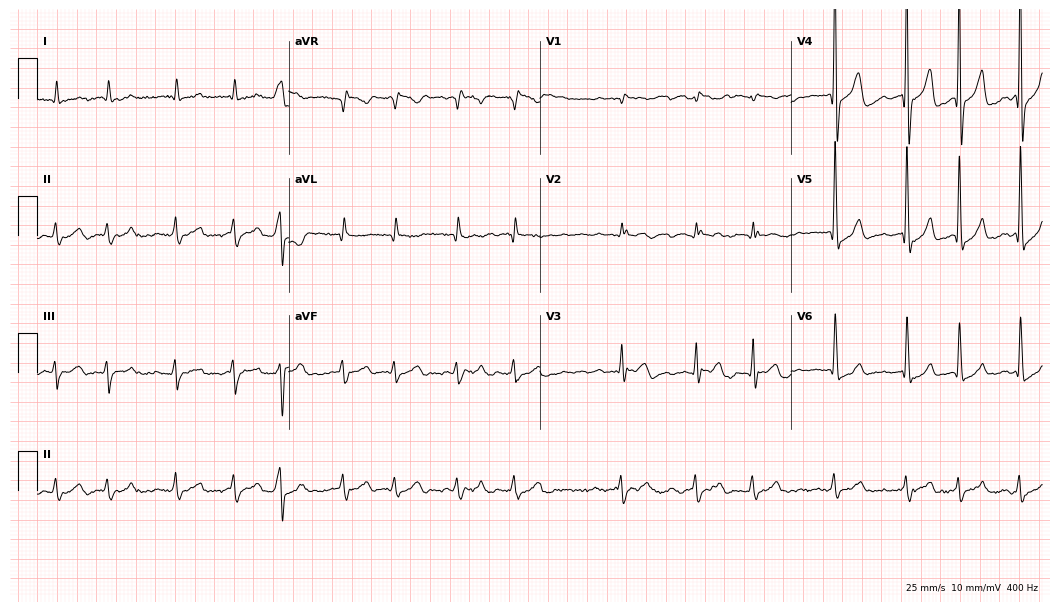
Standard 12-lead ECG recorded from a man, 75 years old (10.2-second recording at 400 Hz). The tracing shows atrial fibrillation.